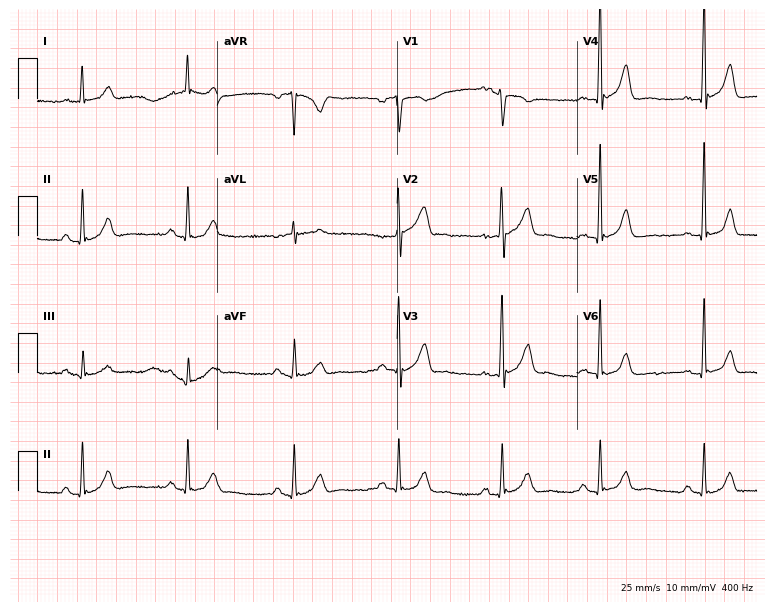
12-lead ECG (7.3-second recording at 400 Hz) from a 47-year-old man. Labelled as a normal ECG.